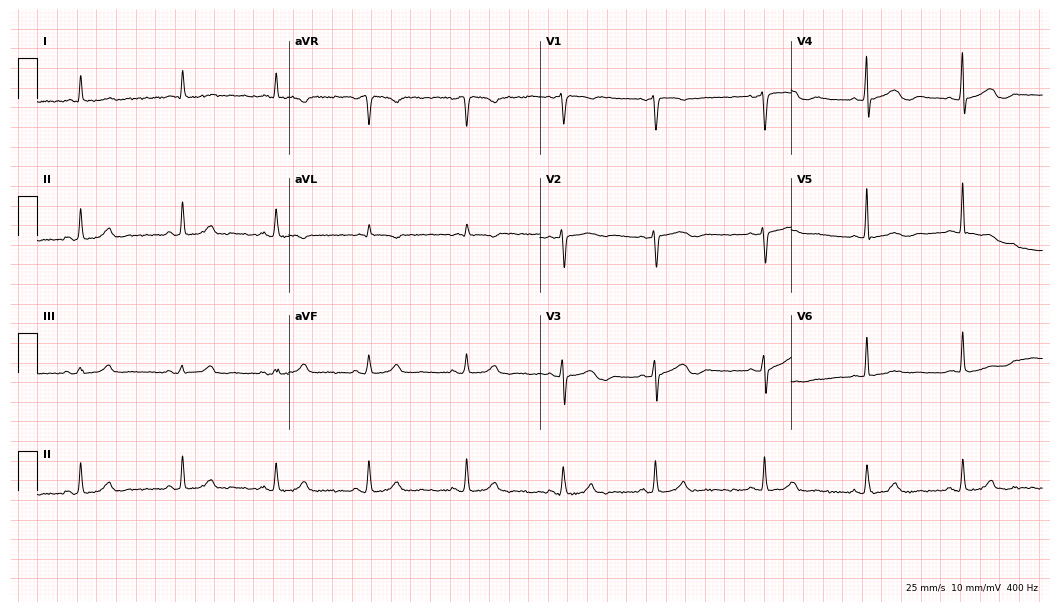
12-lead ECG from a 76-year-old female. Screened for six findings — first-degree AV block, right bundle branch block, left bundle branch block, sinus bradycardia, atrial fibrillation, sinus tachycardia — none is recorded.